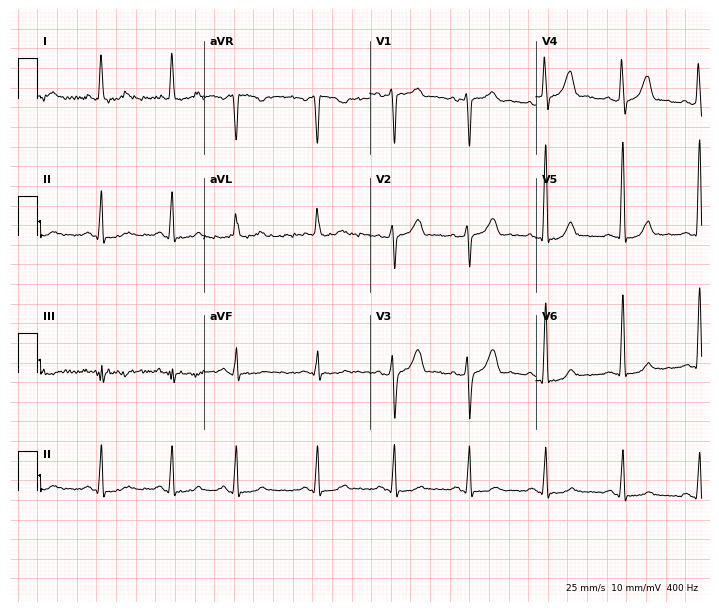
ECG — a 35-year-old woman. Screened for six findings — first-degree AV block, right bundle branch block, left bundle branch block, sinus bradycardia, atrial fibrillation, sinus tachycardia — none is recorded.